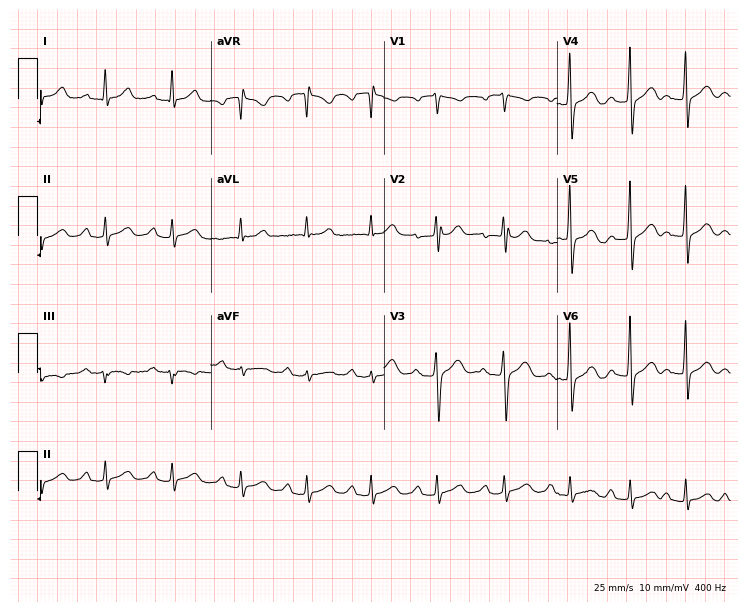
Standard 12-lead ECG recorded from a man, 50 years old. The tracing shows first-degree AV block.